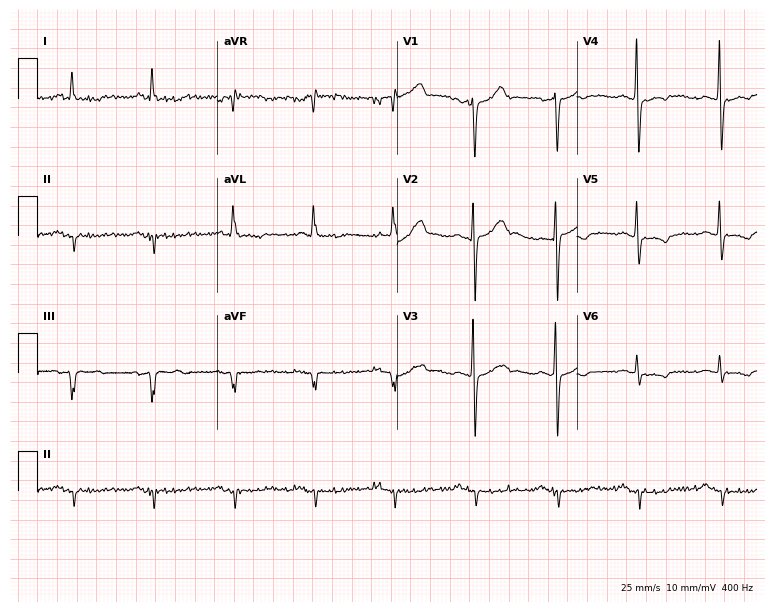
ECG (7.3-second recording at 400 Hz) — a male patient, 67 years old. Screened for six findings — first-degree AV block, right bundle branch block, left bundle branch block, sinus bradycardia, atrial fibrillation, sinus tachycardia — none is recorded. Findings outside these six are not listed.